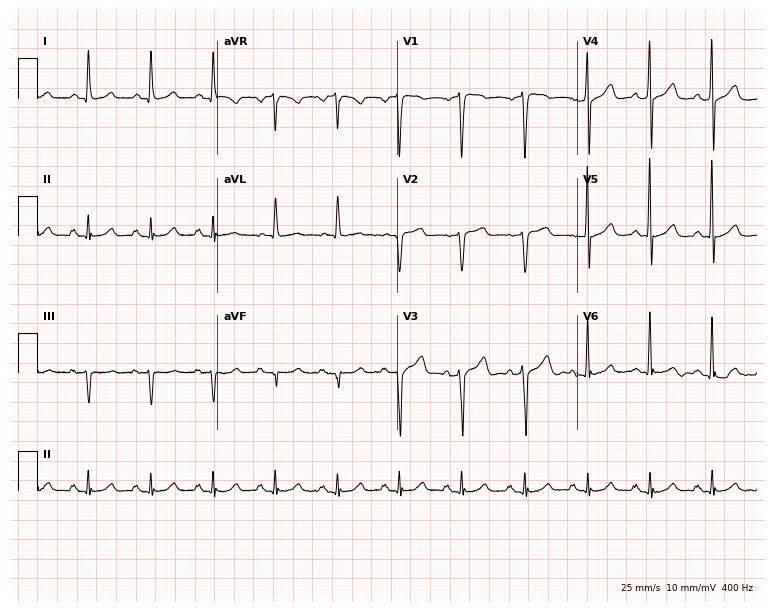
12-lead ECG from a woman, 53 years old. Screened for six findings — first-degree AV block, right bundle branch block, left bundle branch block, sinus bradycardia, atrial fibrillation, sinus tachycardia — none is recorded.